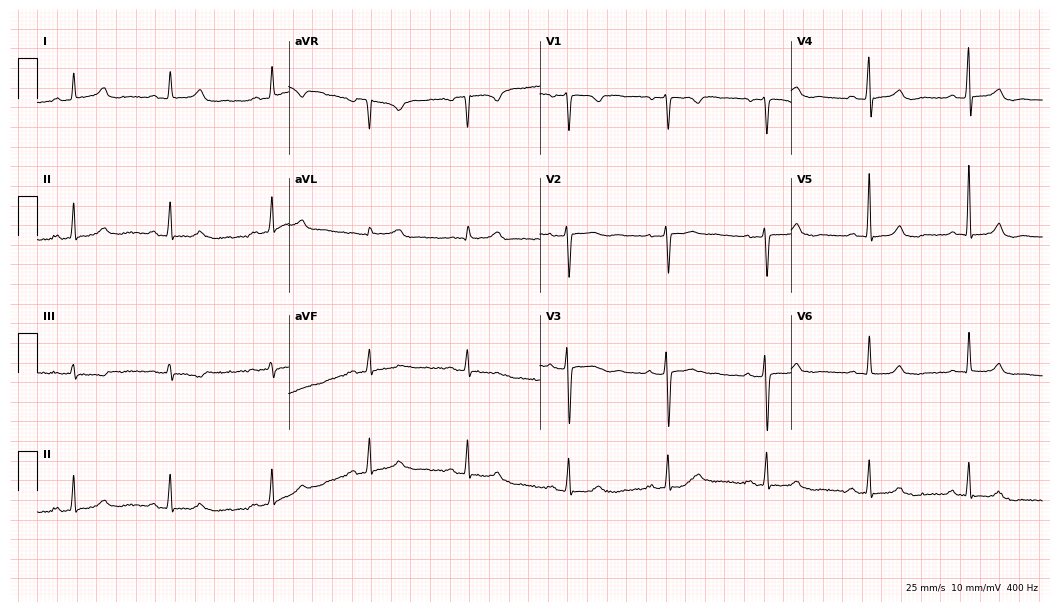
12-lead ECG from a 42-year-old female patient (10.2-second recording at 400 Hz). Recorded interpretation: within normal limits.